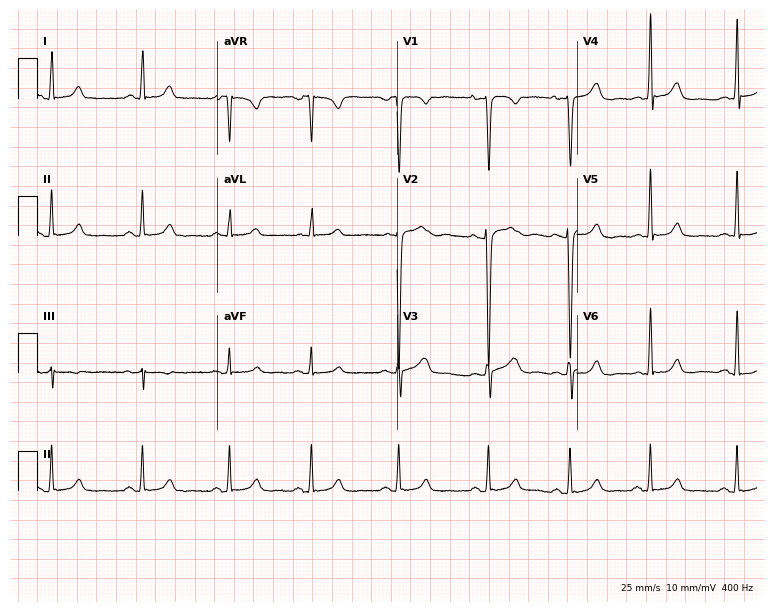
Electrocardiogram (7.3-second recording at 400 Hz), a female patient, 29 years old. Overall reading on record: normal ECG.